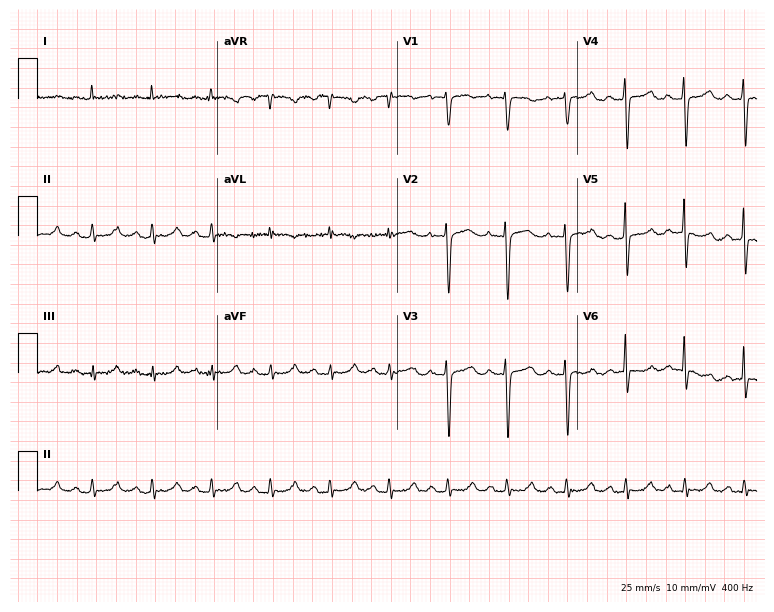
12-lead ECG from a 73-year-old female patient. Screened for six findings — first-degree AV block, right bundle branch block, left bundle branch block, sinus bradycardia, atrial fibrillation, sinus tachycardia — none is recorded. Other findings, if any, are not listed.